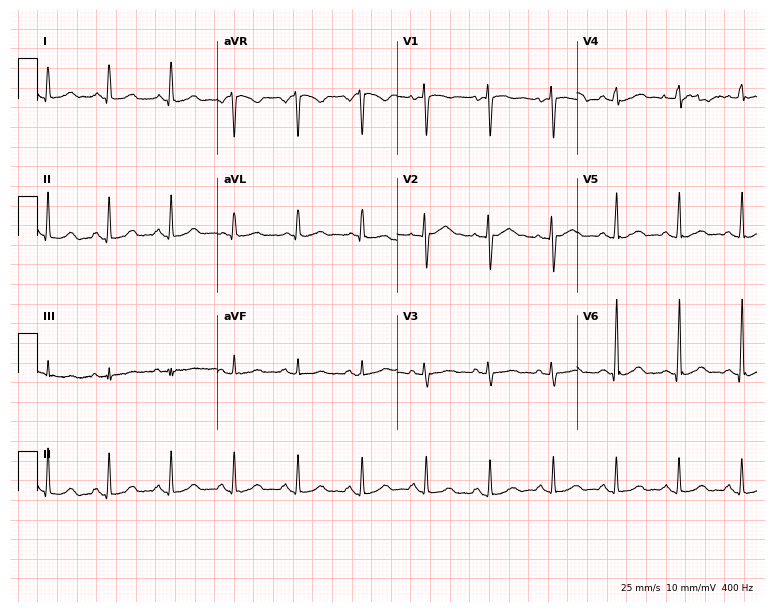
12-lead ECG from a female, 46 years old (7.3-second recording at 400 Hz). No first-degree AV block, right bundle branch block (RBBB), left bundle branch block (LBBB), sinus bradycardia, atrial fibrillation (AF) or sinus tachycardia recorded for this tracing.